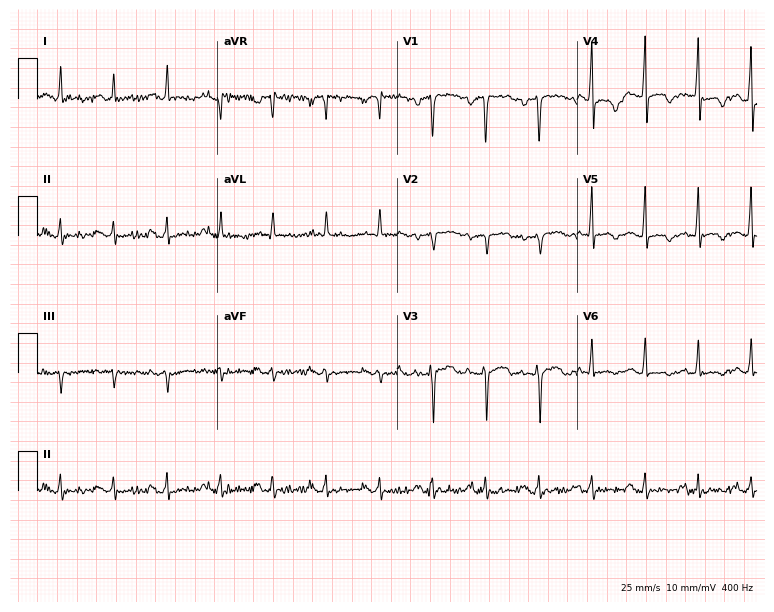
ECG — a male, 45 years old. Screened for six findings — first-degree AV block, right bundle branch block, left bundle branch block, sinus bradycardia, atrial fibrillation, sinus tachycardia — none is recorded.